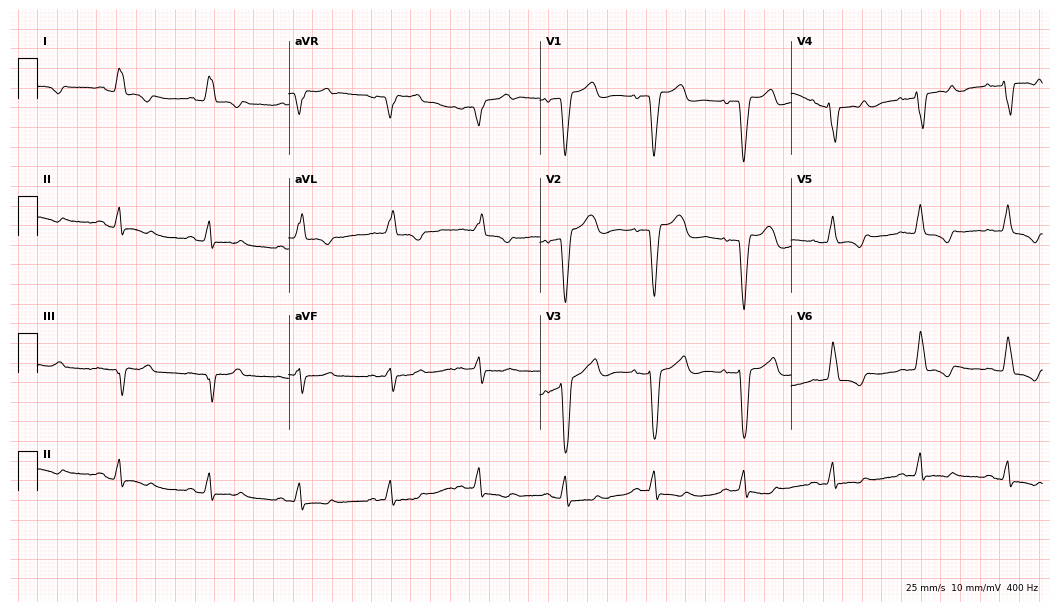
Electrocardiogram, a female, 68 years old. Interpretation includes left bundle branch block.